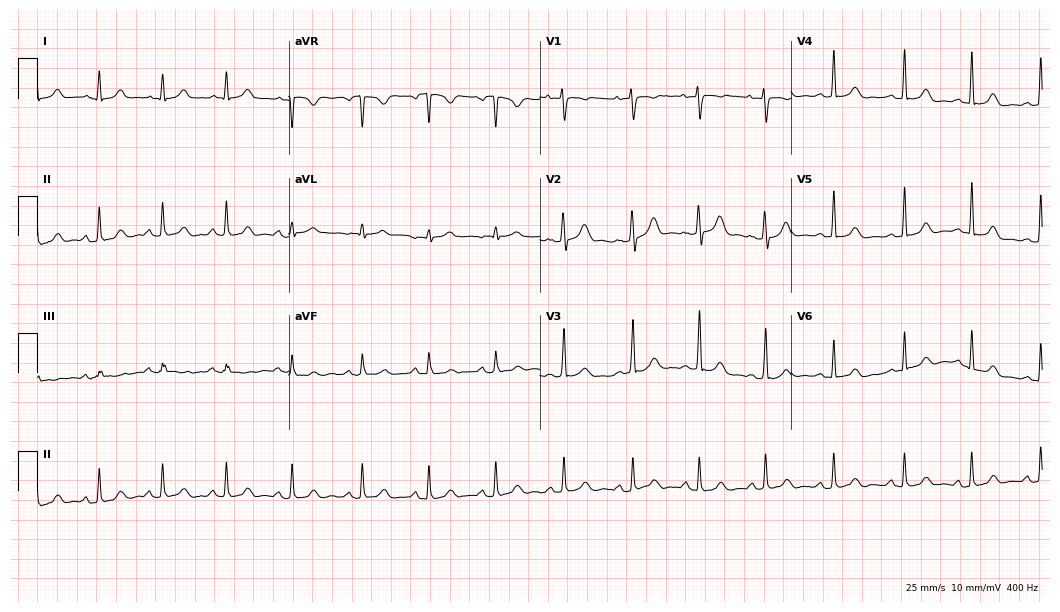
ECG — a female patient, 18 years old. Labelled as a normal ECG.